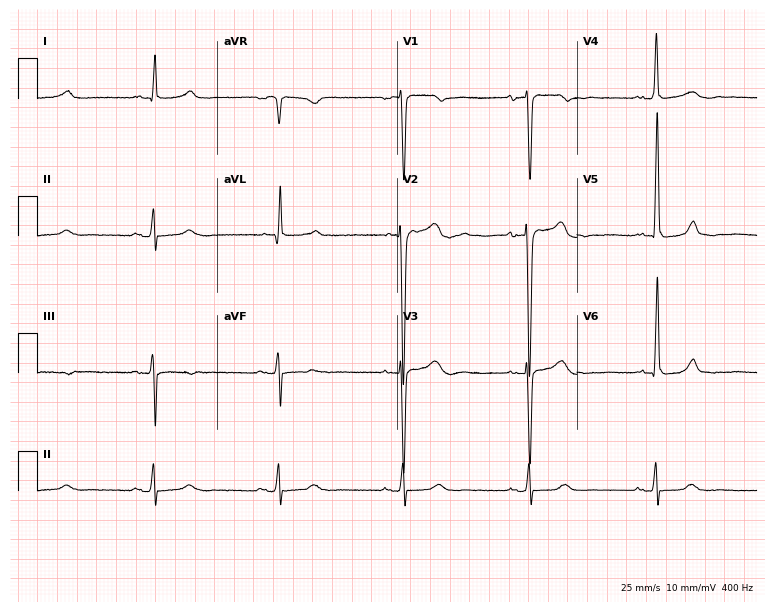
Resting 12-lead electrocardiogram. Patient: a female, 72 years old. The tracing shows sinus bradycardia (a sinus rate of 50 beats per minute or less).